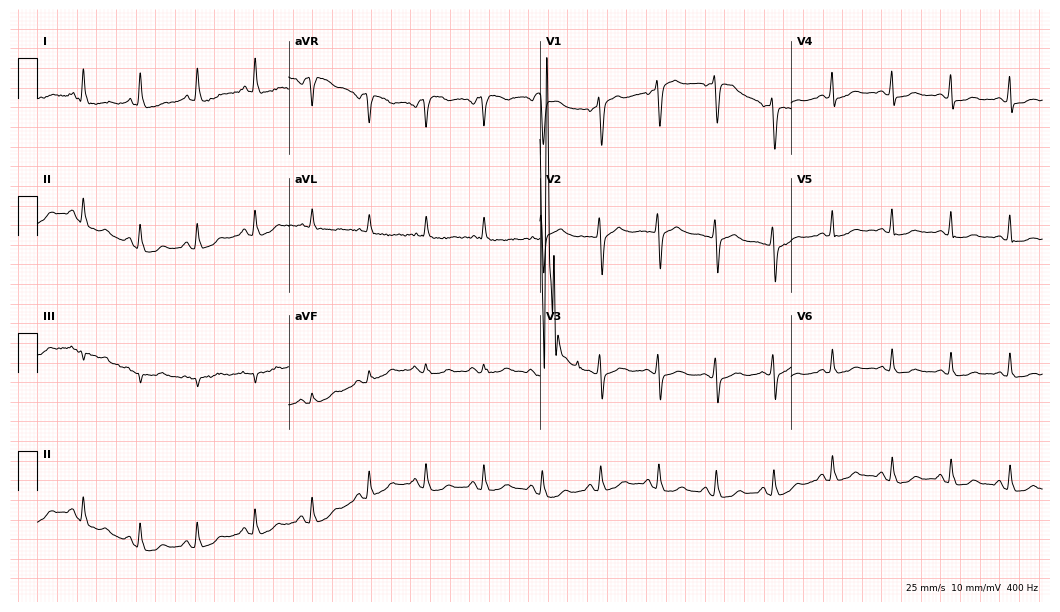
Electrocardiogram, a 60-year-old female. Of the six screened findings (first-degree AV block, right bundle branch block, left bundle branch block, sinus bradycardia, atrial fibrillation, sinus tachycardia), none is recorded.